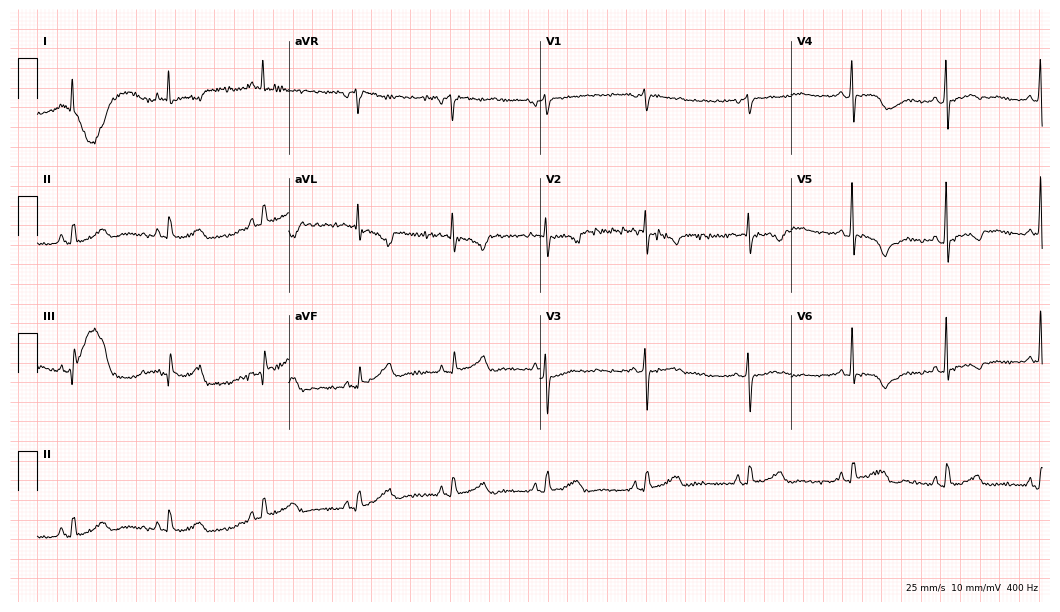
Standard 12-lead ECG recorded from a 51-year-old woman (10.2-second recording at 400 Hz). None of these six findings is recorded: first-degree AV block, right bundle branch block, left bundle branch block, sinus bradycardia, atrial fibrillation, sinus tachycardia.